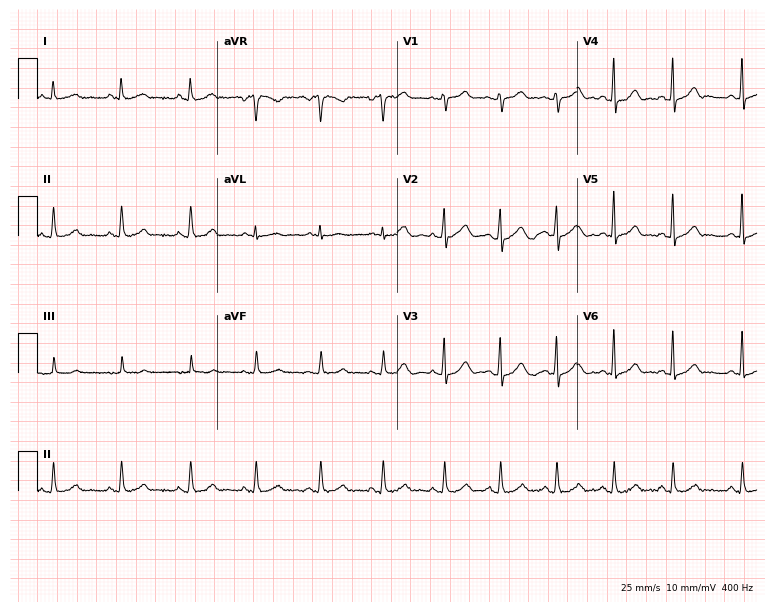
12-lead ECG from a male patient, 50 years old. Labelled as a normal ECG.